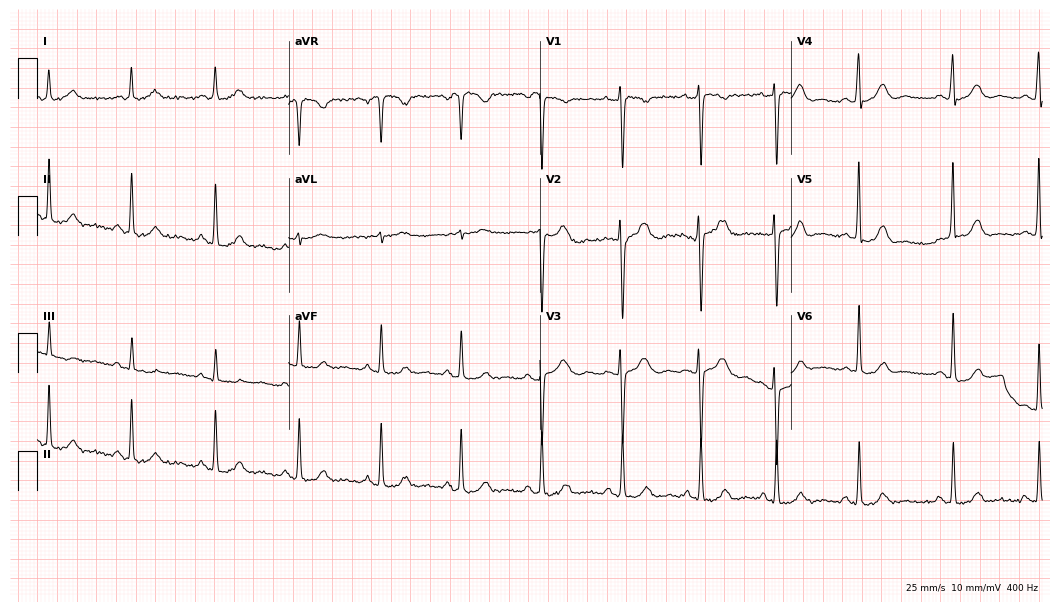
Electrocardiogram, a 59-year-old female patient. Of the six screened findings (first-degree AV block, right bundle branch block (RBBB), left bundle branch block (LBBB), sinus bradycardia, atrial fibrillation (AF), sinus tachycardia), none is recorded. Findings outside these six are not listed.